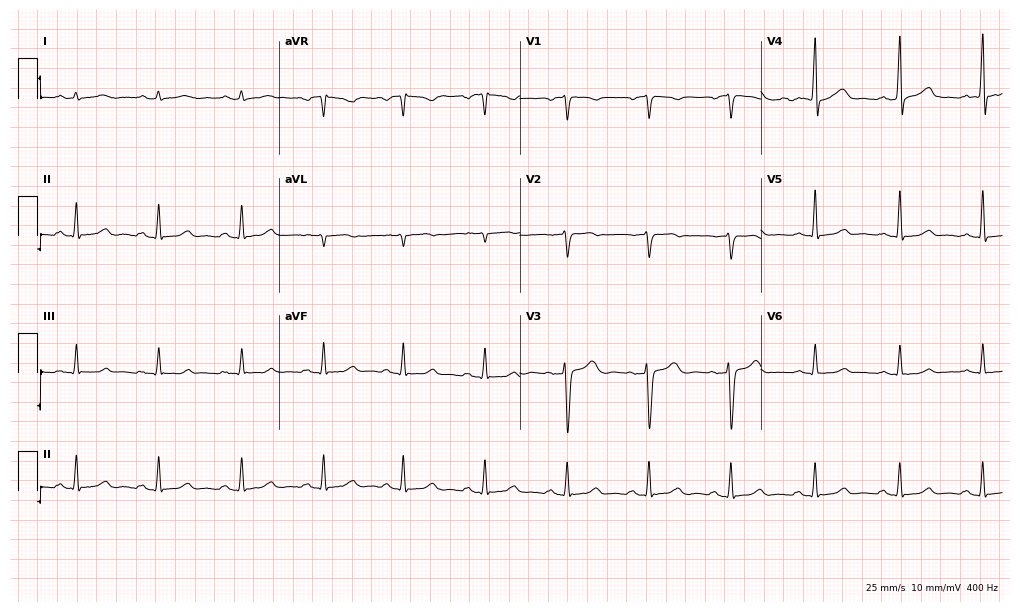
12-lead ECG from a female, 46 years old (9.8-second recording at 400 Hz). No first-degree AV block, right bundle branch block (RBBB), left bundle branch block (LBBB), sinus bradycardia, atrial fibrillation (AF) or sinus tachycardia recorded for this tracing.